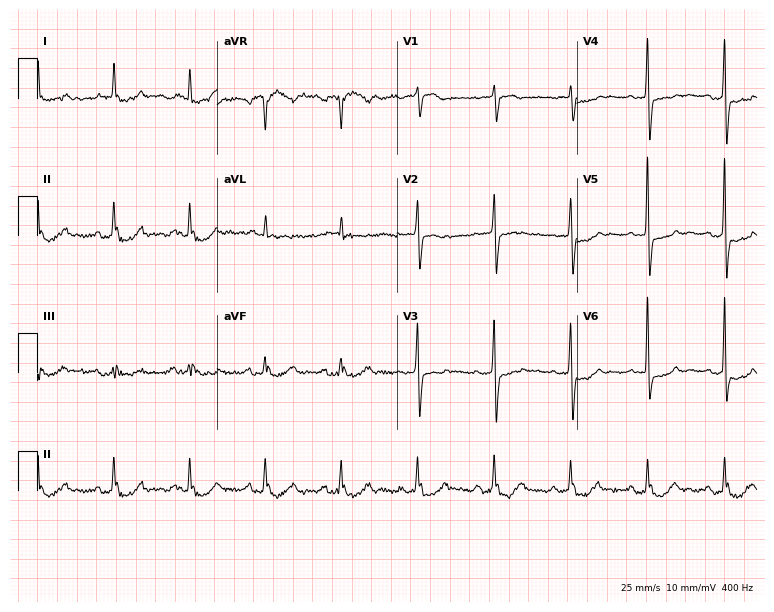
12-lead ECG from a female patient, 81 years old. Screened for six findings — first-degree AV block, right bundle branch block (RBBB), left bundle branch block (LBBB), sinus bradycardia, atrial fibrillation (AF), sinus tachycardia — none is recorded.